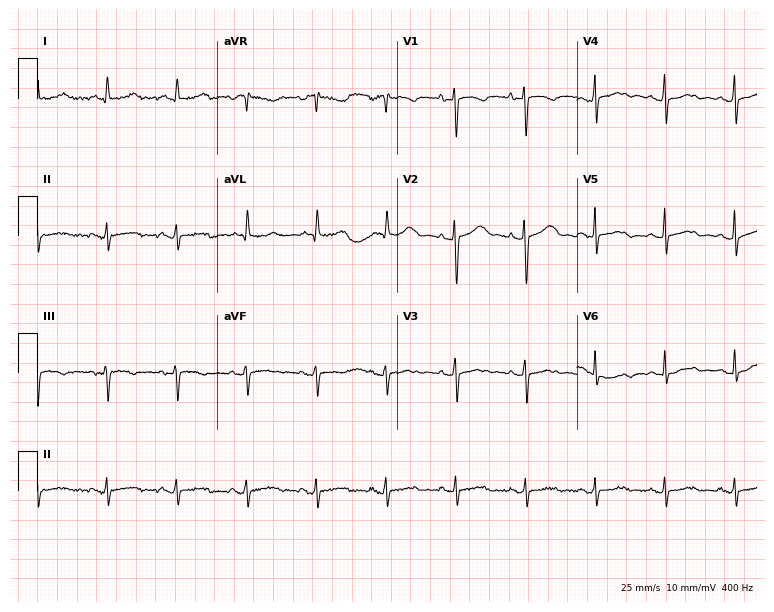
Resting 12-lead electrocardiogram. Patient: a woman, 84 years old. Read as a normal ECG.